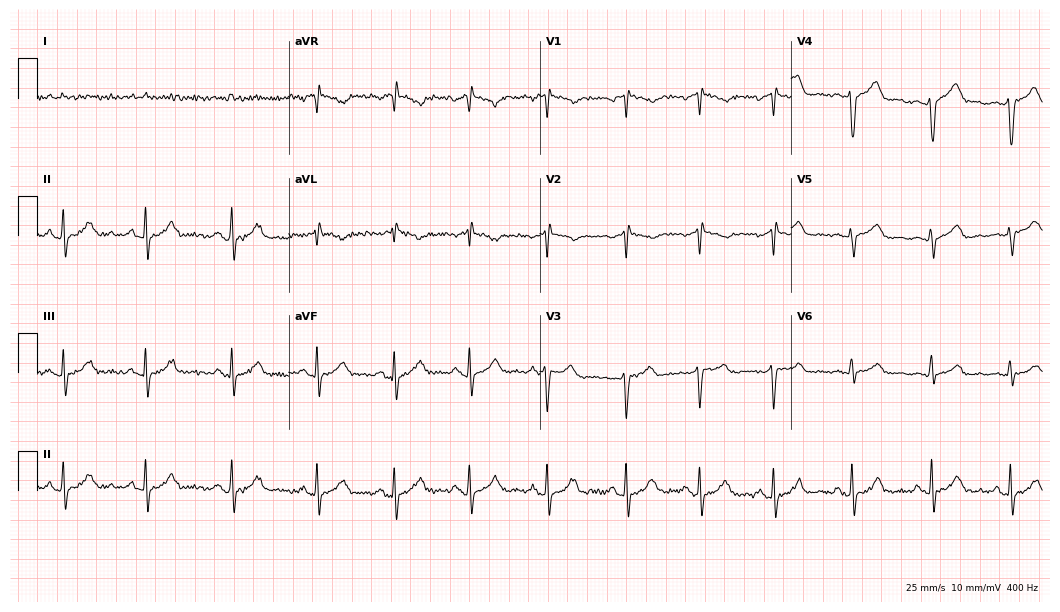
ECG (10.2-second recording at 400 Hz) — a male patient, 37 years old. Labelled as a normal ECG.